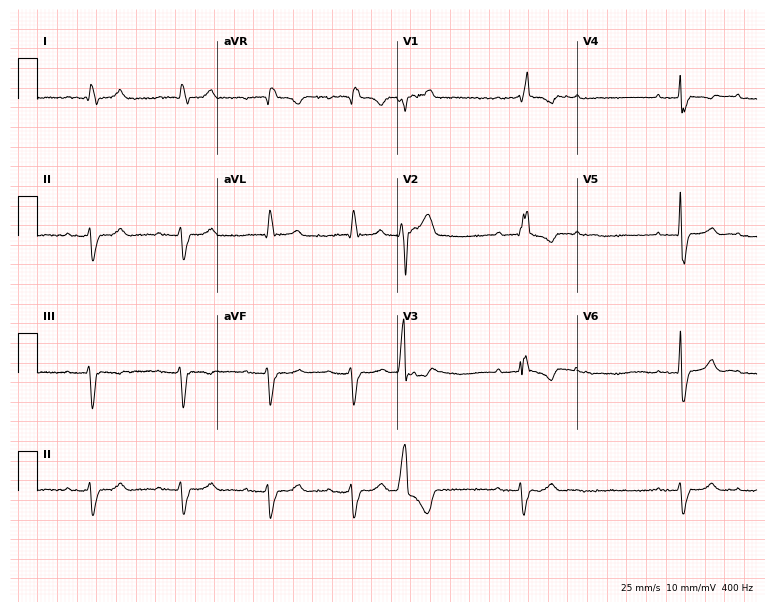
12-lead ECG from a male patient, 86 years old. Findings include first-degree AV block, right bundle branch block, atrial fibrillation.